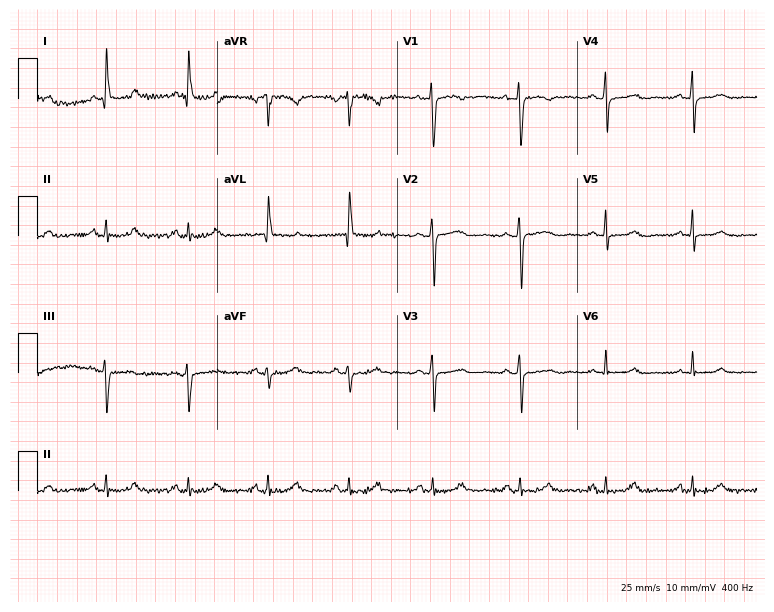
12-lead ECG from a female, 45 years old (7.3-second recording at 400 Hz). No first-degree AV block, right bundle branch block (RBBB), left bundle branch block (LBBB), sinus bradycardia, atrial fibrillation (AF) or sinus tachycardia recorded for this tracing.